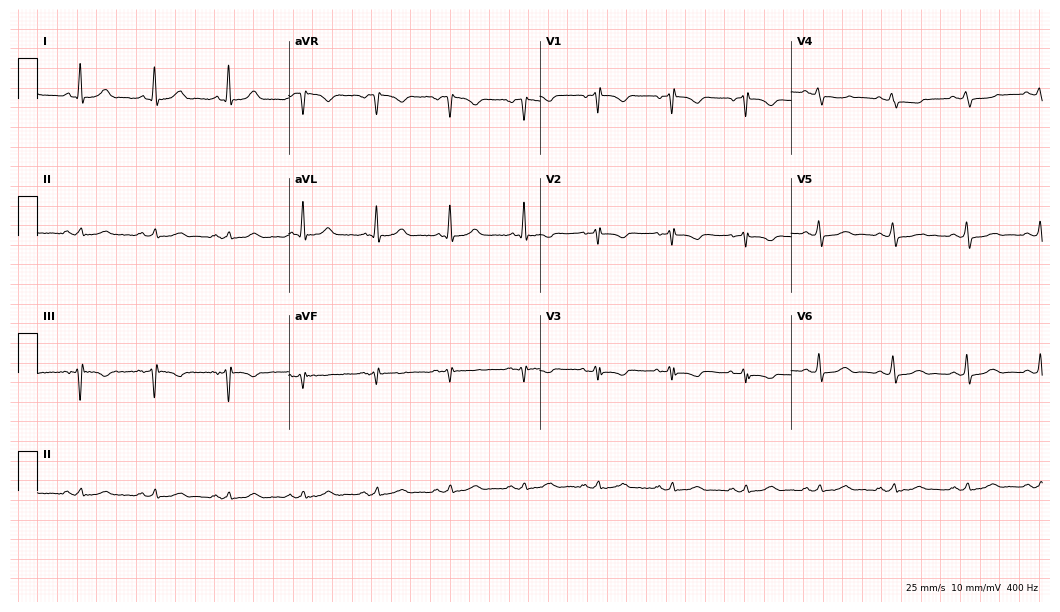
Standard 12-lead ECG recorded from a female, 80 years old (10.2-second recording at 400 Hz). None of these six findings is recorded: first-degree AV block, right bundle branch block, left bundle branch block, sinus bradycardia, atrial fibrillation, sinus tachycardia. Only these six findings were labelled.